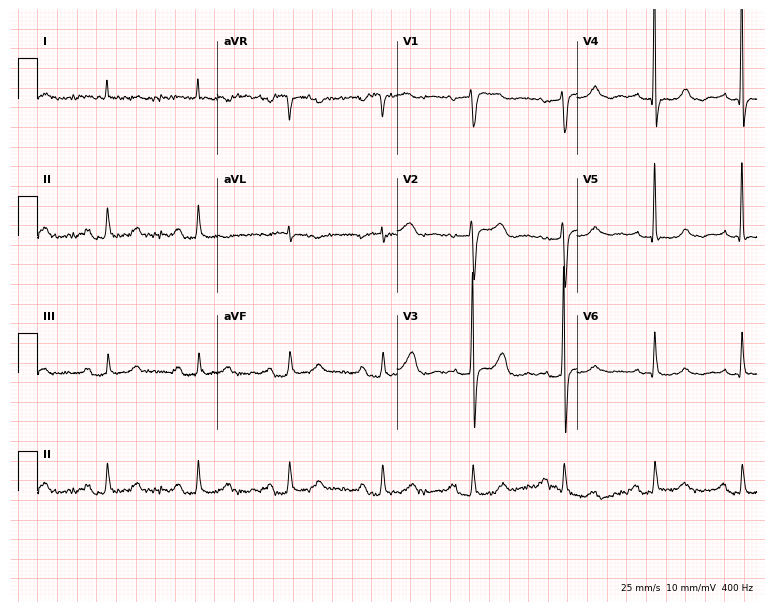
Standard 12-lead ECG recorded from a female, 69 years old. The tracing shows first-degree AV block.